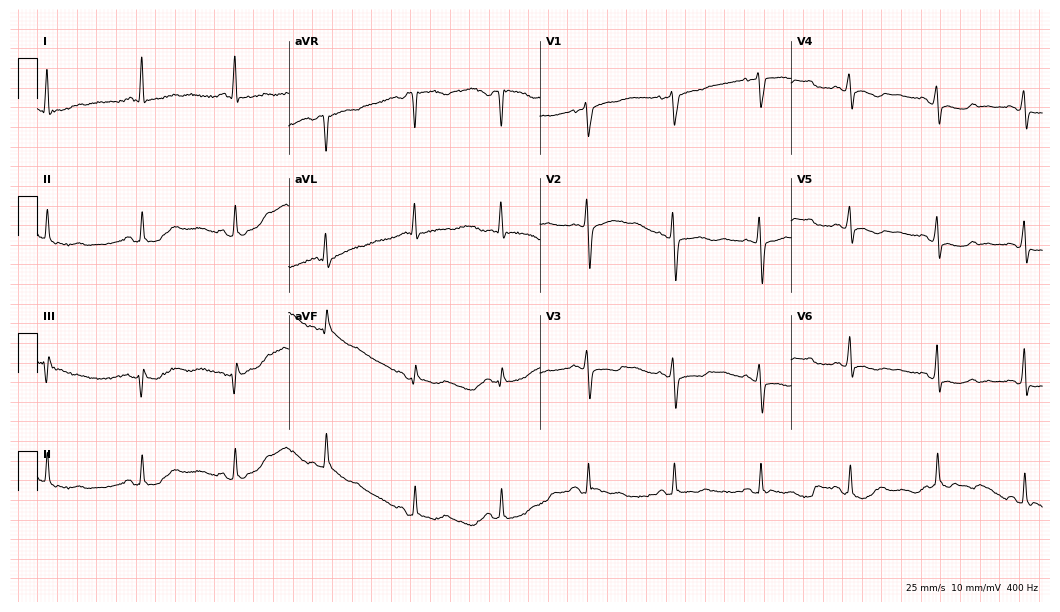
12-lead ECG from a 56-year-old female. Screened for six findings — first-degree AV block, right bundle branch block, left bundle branch block, sinus bradycardia, atrial fibrillation, sinus tachycardia — none is recorded. Findings outside these six are not listed.